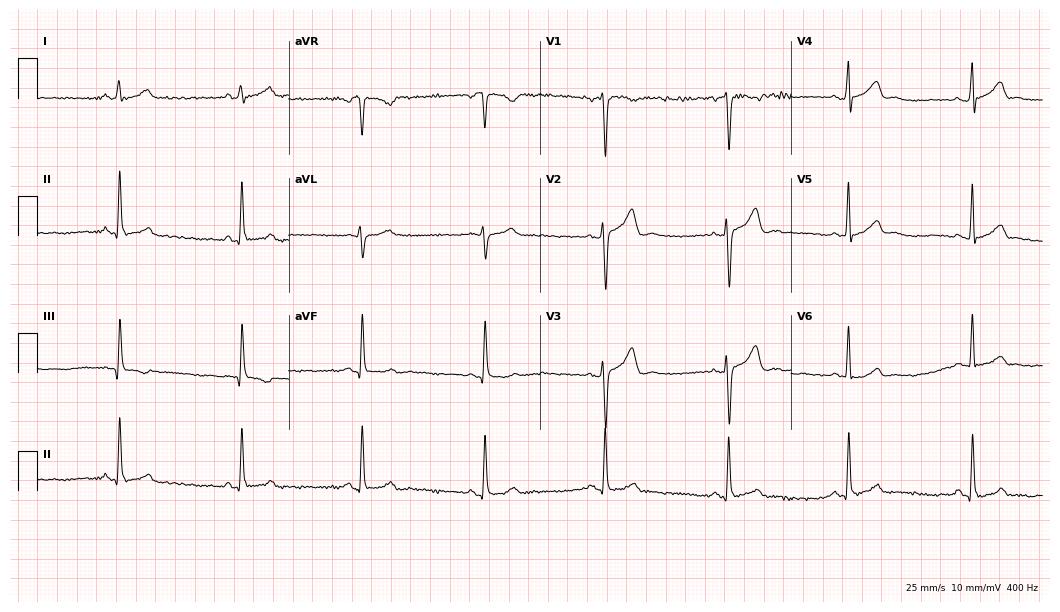
ECG — a male patient, 37 years old. Screened for six findings — first-degree AV block, right bundle branch block, left bundle branch block, sinus bradycardia, atrial fibrillation, sinus tachycardia — none is recorded.